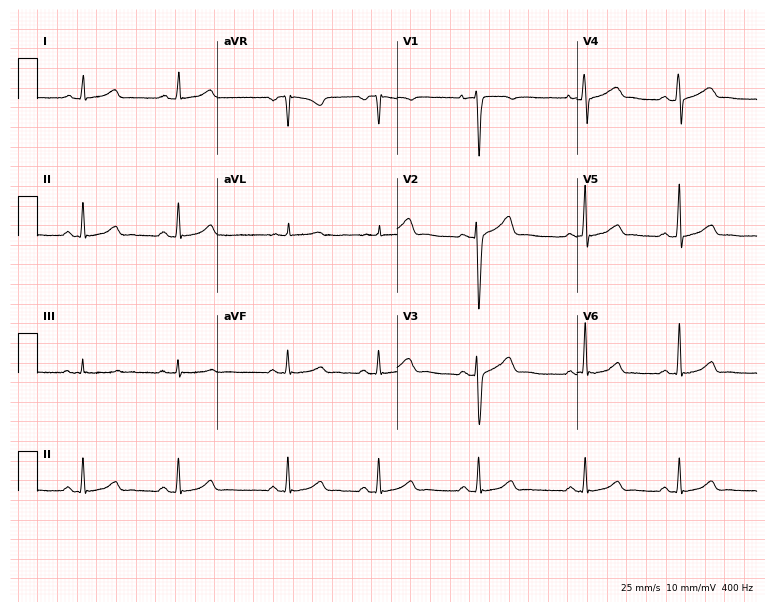
Resting 12-lead electrocardiogram (7.3-second recording at 400 Hz). Patient: a 28-year-old female. None of these six findings is recorded: first-degree AV block, right bundle branch block, left bundle branch block, sinus bradycardia, atrial fibrillation, sinus tachycardia. Only these six findings were labelled.